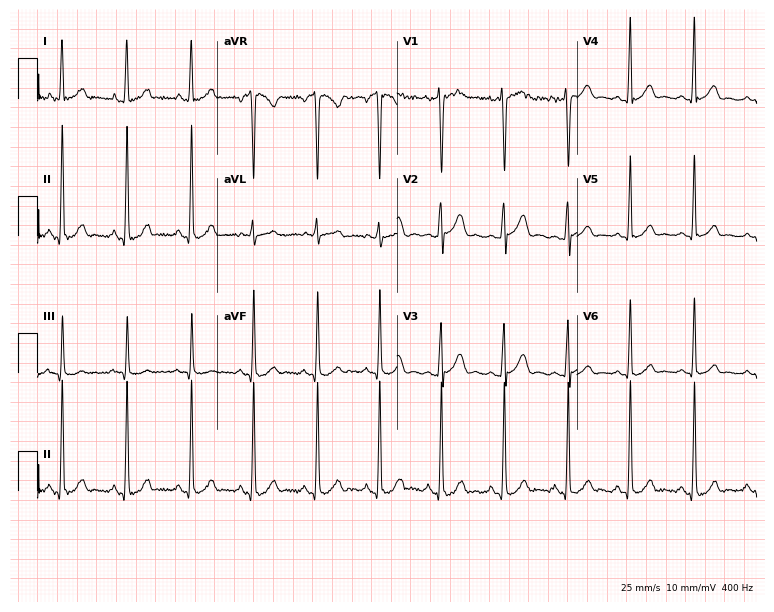
ECG (7.3-second recording at 400 Hz) — a woman, 20 years old. Screened for six findings — first-degree AV block, right bundle branch block (RBBB), left bundle branch block (LBBB), sinus bradycardia, atrial fibrillation (AF), sinus tachycardia — none is recorded.